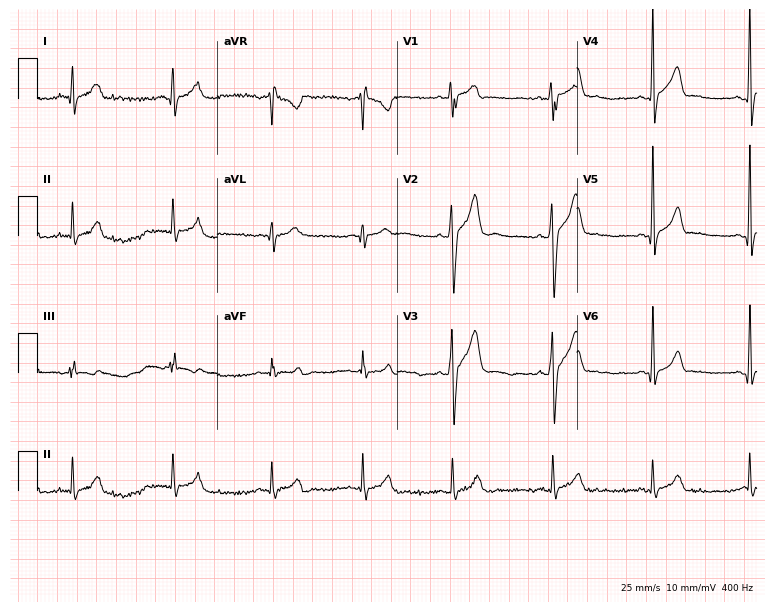
ECG — a 21-year-old male patient. Labelled as a normal ECG.